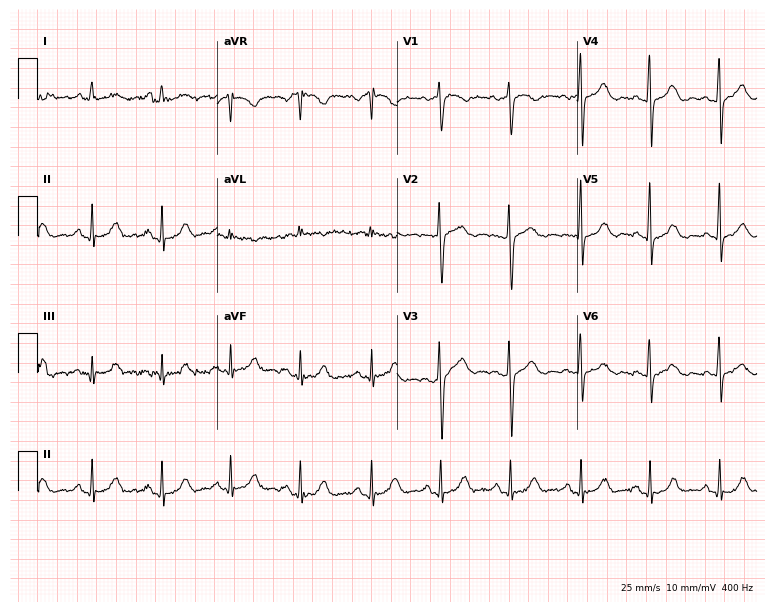
ECG — a 53-year-old female patient. Labelled as a normal ECG.